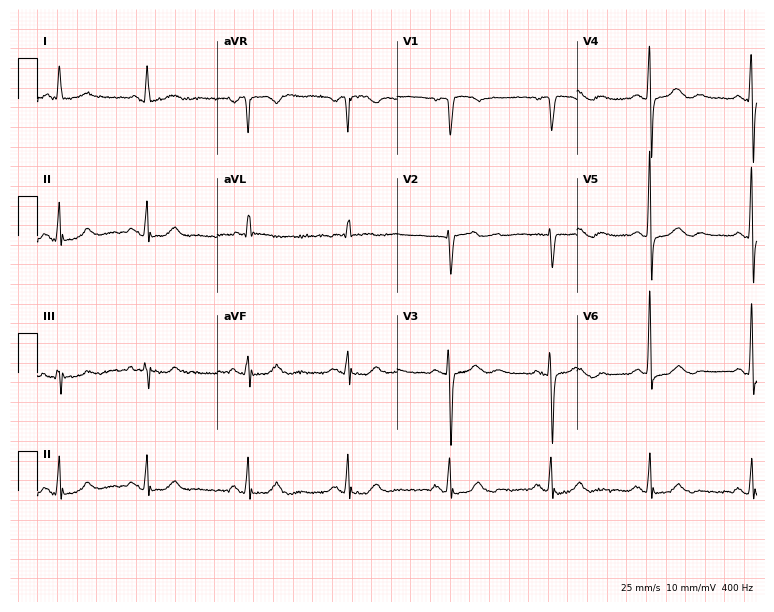
12-lead ECG (7.3-second recording at 400 Hz) from a female, 78 years old. Screened for six findings — first-degree AV block, right bundle branch block, left bundle branch block, sinus bradycardia, atrial fibrillation, sinus tachycardia — none is recorded. Other findings, if any, are not listed.